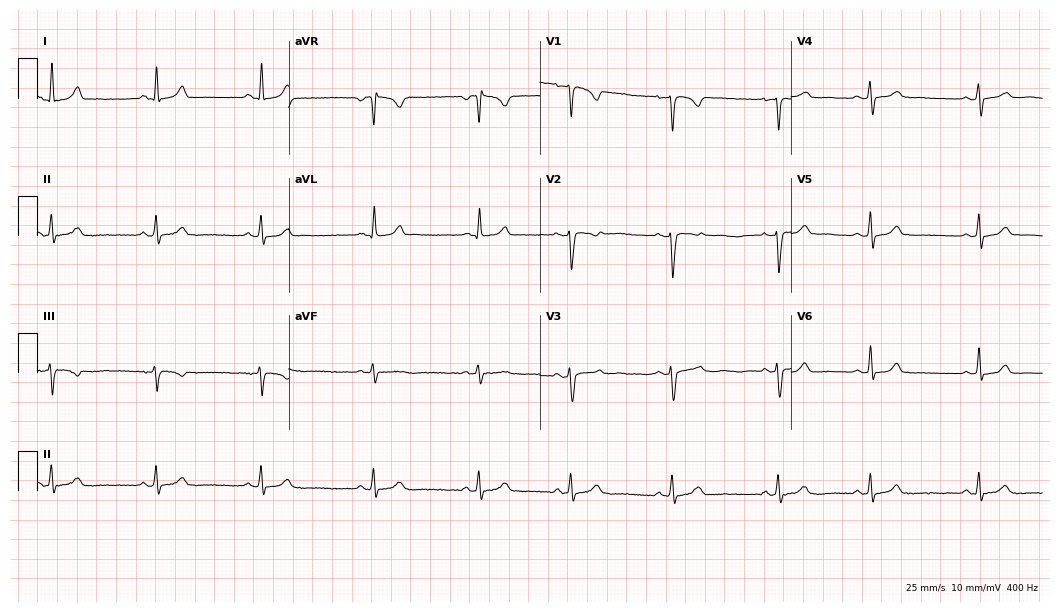
Resting 12-lead electrocardiogram (10.2-second recording at 400 Hz). Patient: a 22-year-old female. Read as a normal ECG.